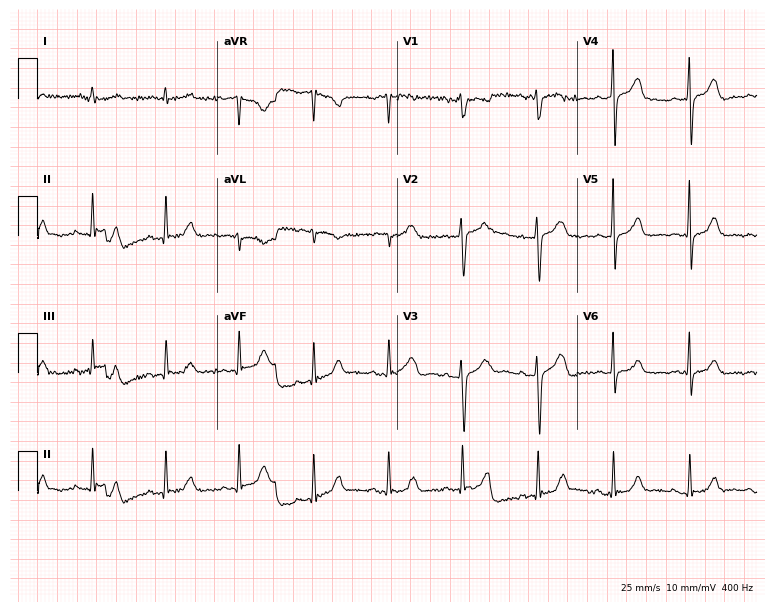
12-lead ECG from a man, 81 years old. Recorded interpretation: within normal limits.